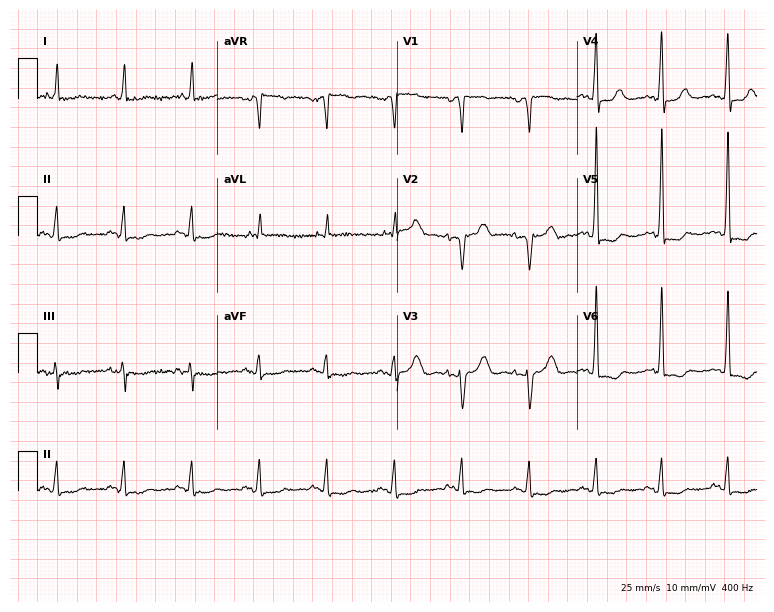
Resting 12-lead electrocardiogram. Patient: a woman, 81 years old. None of these six findings is recorded: first-degree AV block, right bundle branch block, left bundle branch block, sinus bradycardia, atrial fibrillation, sinus tachycardia. Only these six findings were labelled.